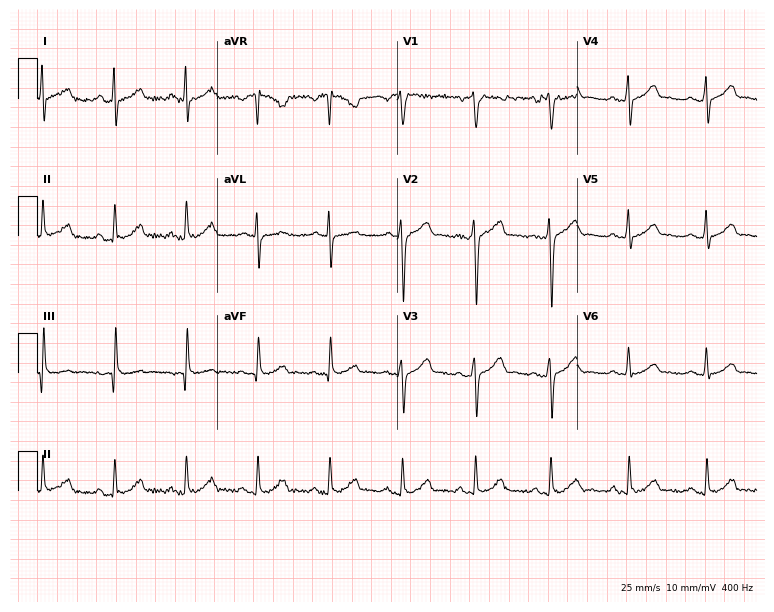
Standard 12-lead ECG recorded from a male patient, 28 years old. Read as a normal ECG.